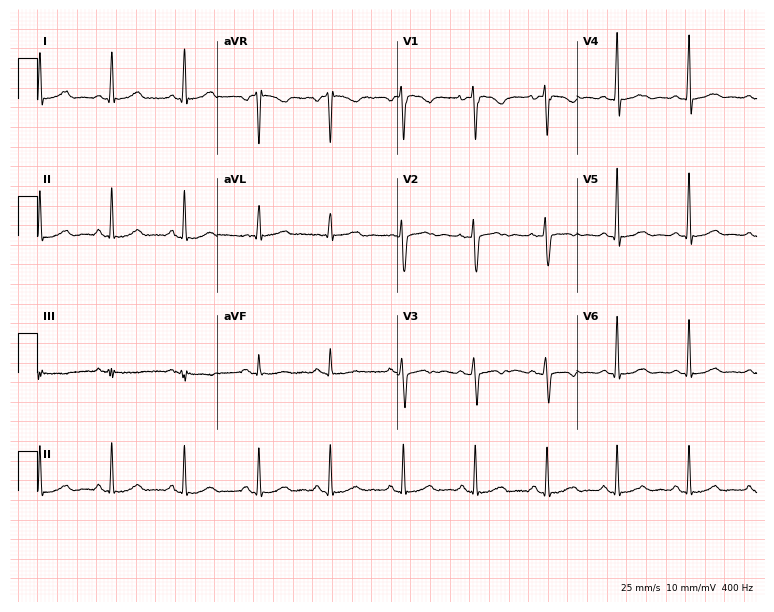
Electrocardiogram, a 44-year-old female patient. Overall reading on record: normal ECG.